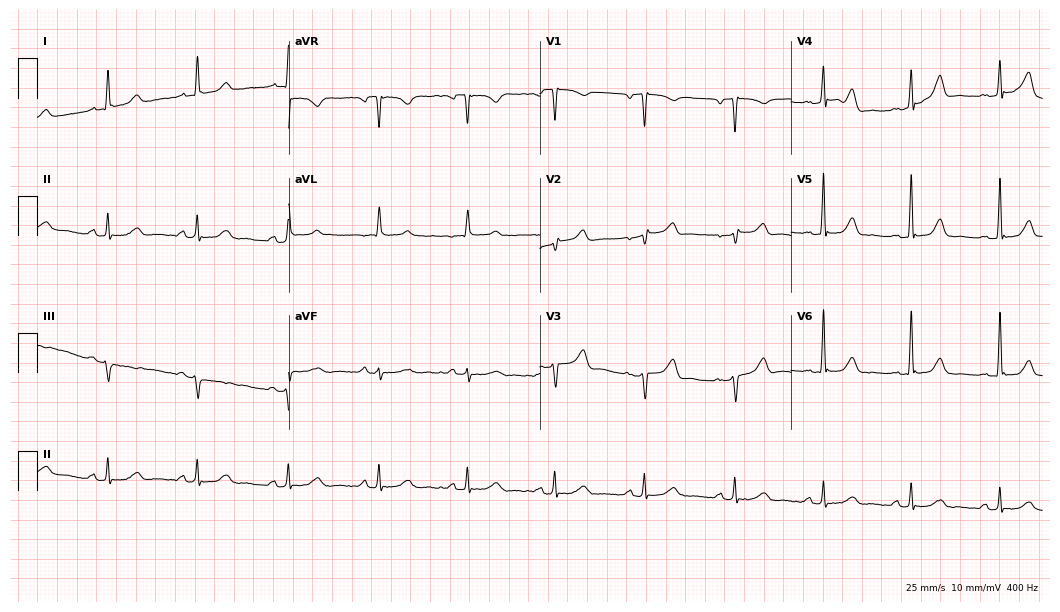
12-lead ECG (10.2-second recording at 400 Hz) from a female, 54 years old. Screened for six findings — first-degree AV block, right bundle branch block, left bundle branch block, sinus bradycardia, atrial fibrillation, sinus tachycardia — none is recorded.